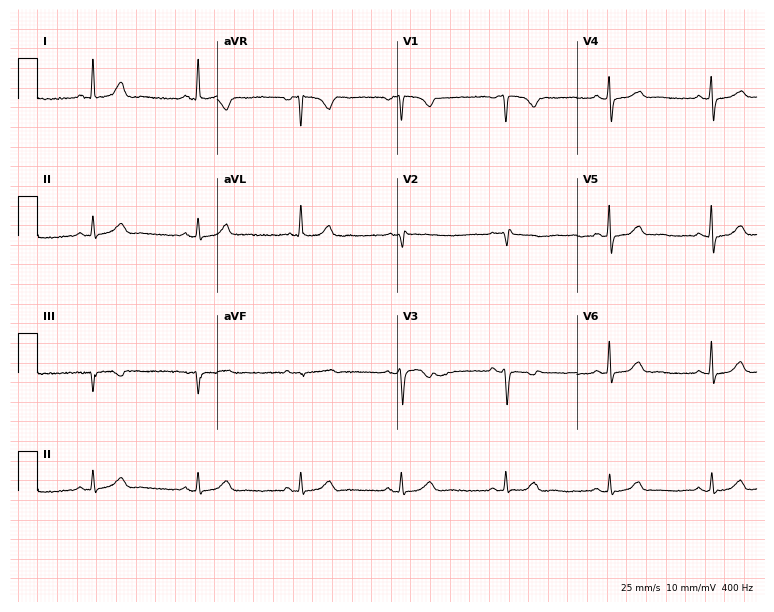
Electrocardiogram (7.3-second recording at 400 Hz), a woman, 67 years old. Of the six screened findings (first-degree AV block, right bundle branch block (RBBB), left bundle branch block (LBBB), sinus bradycardia, atrial fibrillation (AF), sinus tachycardia), none is recorded. Only these six findings were labelled.